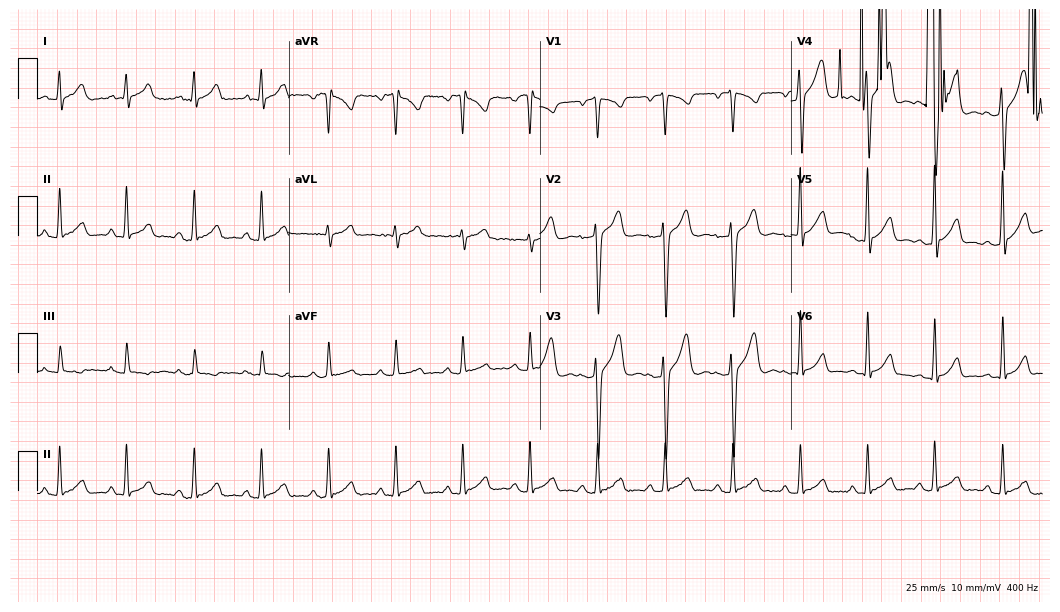
ECG (10.2-second recording at 400 Hz) — a 34-year-old male. Screened for six findings — first-degree AV block, right bundle branch block, left bundle branch block, sinus bradycardia, atrial fibrillation, sinus tachycardia — none is recorded.